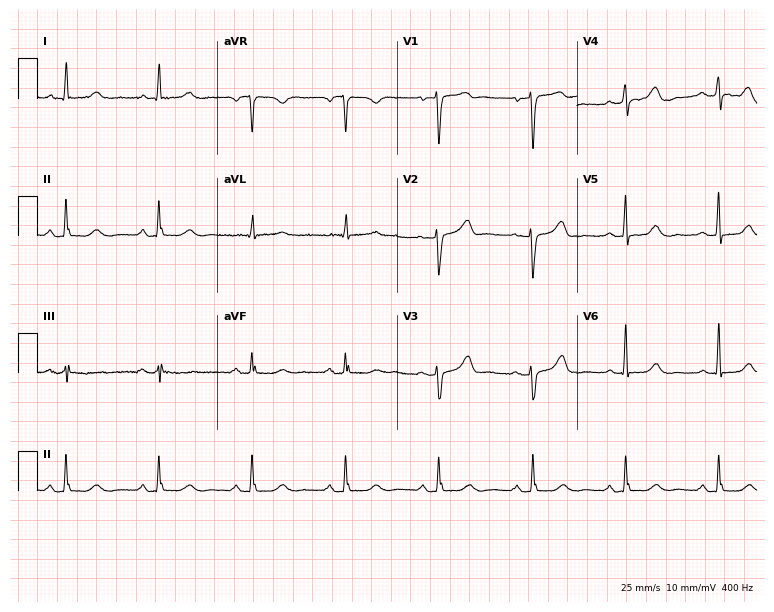
12-lead ECG from a 77-year-old woman (7.3-second recording at 400 Hz). Recorded interpretation: within normal limits.